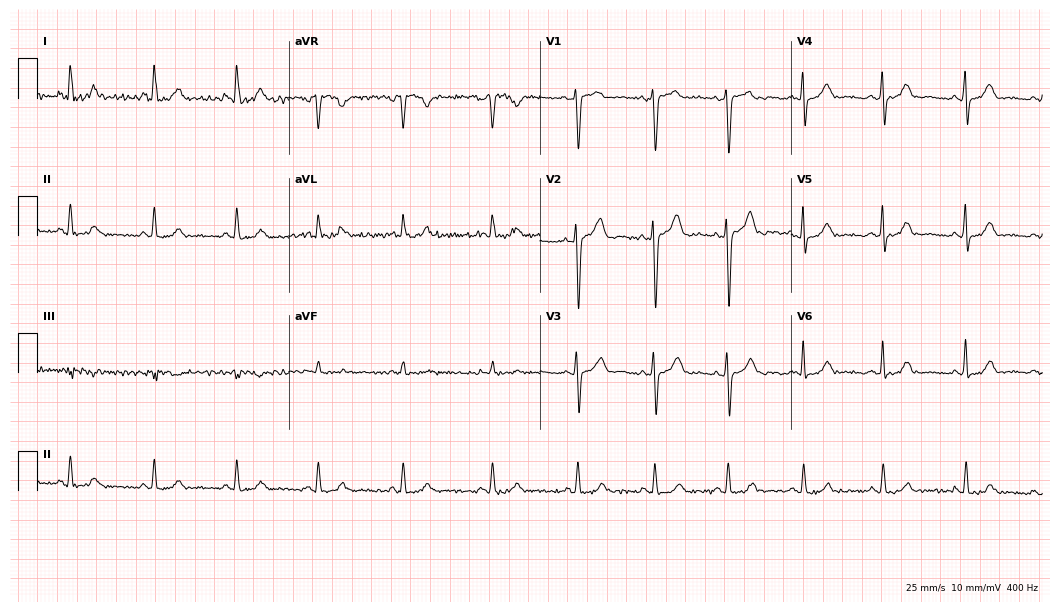
ECG (10.2-second recording at 400 Hz) — a 22-year-old female. Labelled as a normal ECG.